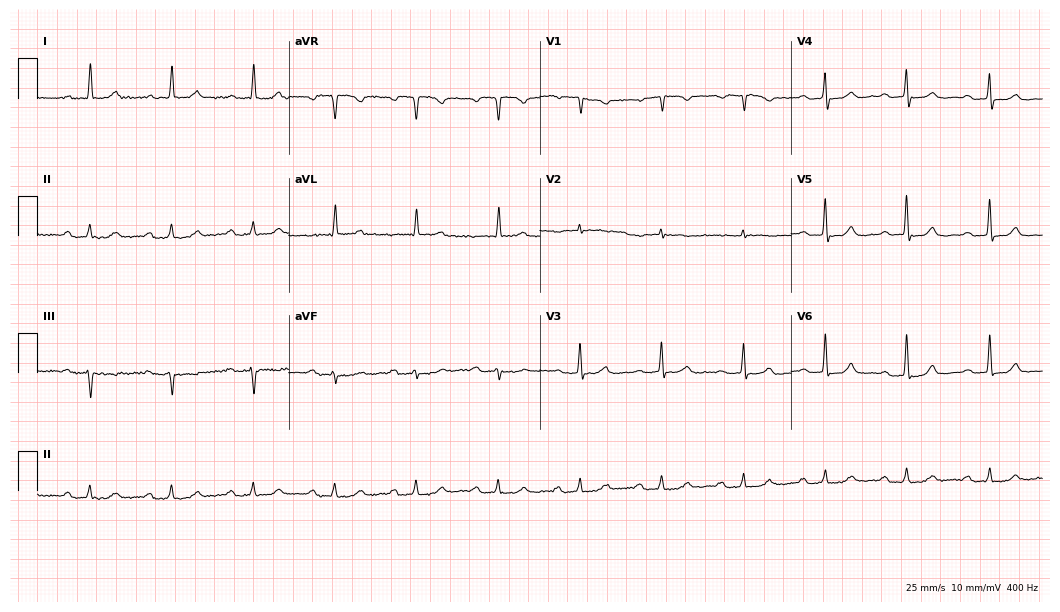
12-lead ECG from an 85-year-old woman. Findings include first-degree AV block.